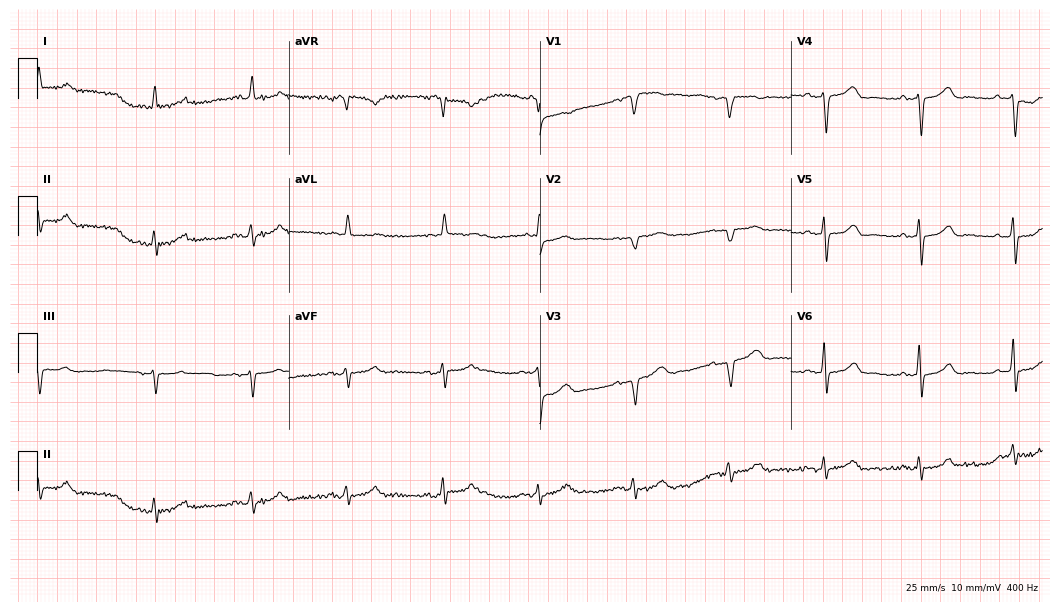
12-lead ECG from a 73-year-old male patient (10.2-second recording at 400 Hz). No first-degree AV block, right bundle branch block (RBBB), left bundle branch block (LBBB), sinus bradycardia, atrial fibrillation (AF) or sinus tachycardia recorded for this tracing.